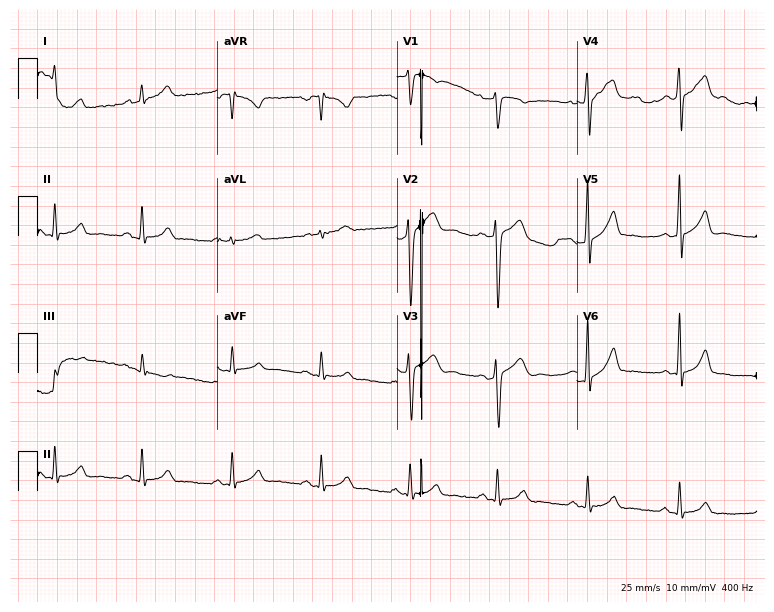
12-lead ECG (7.3-second recording at 400 Hz) from a 37-year-old male. Screened for six findings — first-degree AV block, right bundle branch block, left bundle branch block, sinus bradycardia, atrial fibrillation, sinus tachycardia — none is recorded.